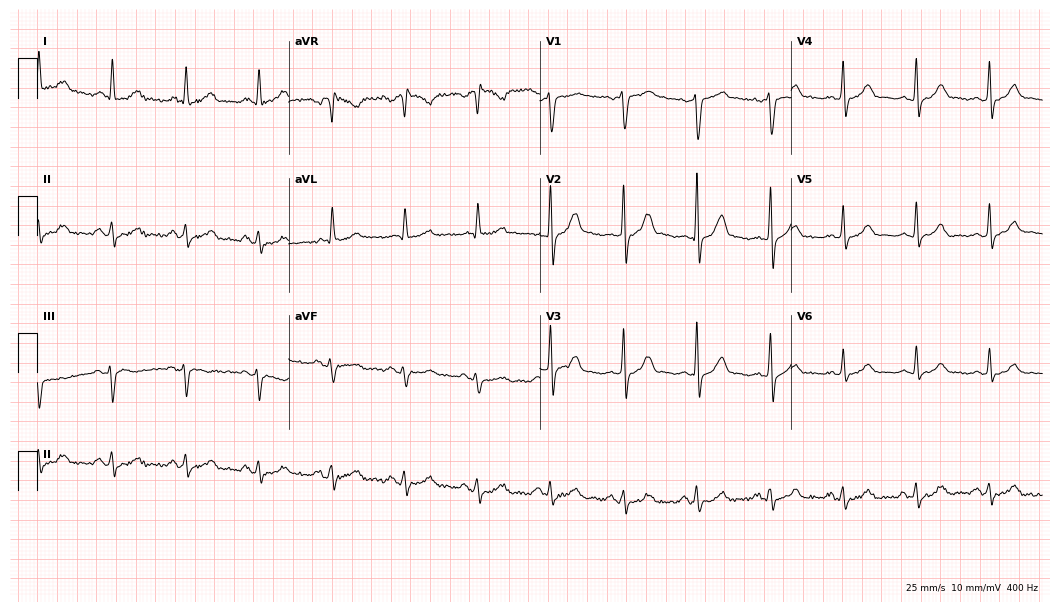
12-lead ECG (10.2-second recording at 400 Hz) from a 58-year-old man. Screened for six findings — first-degree AV block, right bundle branch block, left bundle branch block, sinus bradycardia, atrial fibrillation, sinus tachycardia — none is recorded. Only these six findings were labelled.